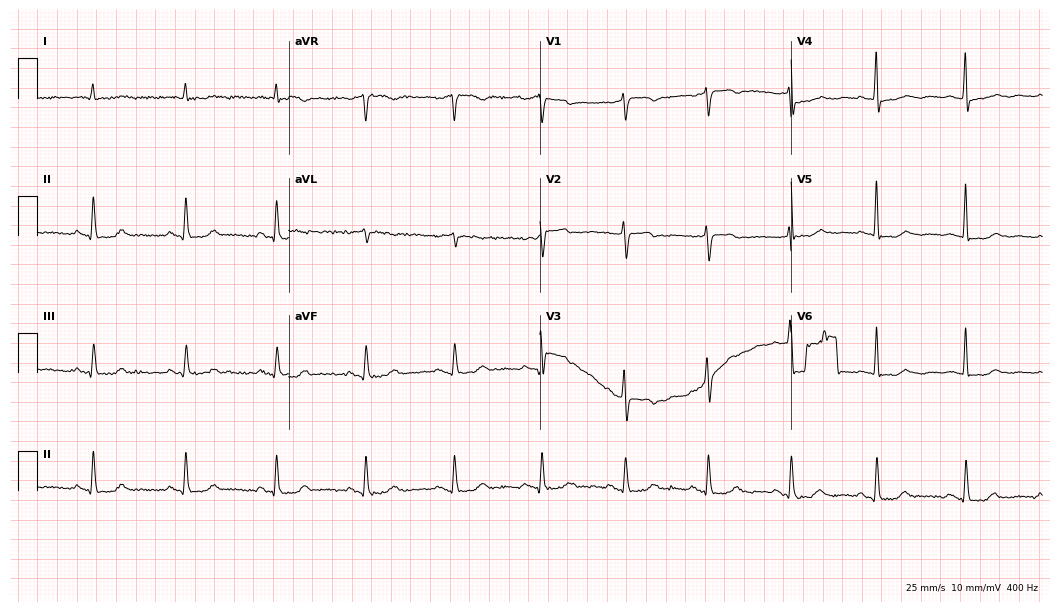
12-lead ECG (10.2-second recording at 400 Hz) from a female patient, 73 years old. Screened for six findings — first-degree AV block, right bundle branch block (RBBB), left bundle branch block (LBBB), sinus bradycardia, atrial fibrillation (AF), sinus tachycardia — none is recorded.